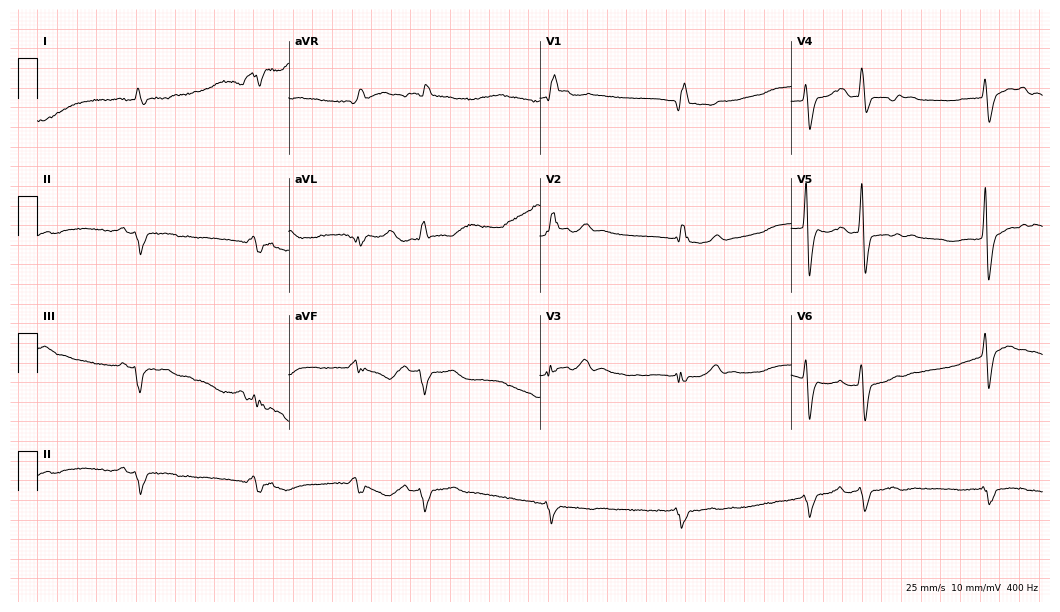
Electrocardiogram, a 79-year-old man. Of the six screened findings (first-degree AV block, right bundle branch block (RBBB), left bundle branch block (LBBB), sinus bradycardia, atrial fibrillation (AF), sinus tachycardia), none is recorded. Other findings, if any, are not listed.